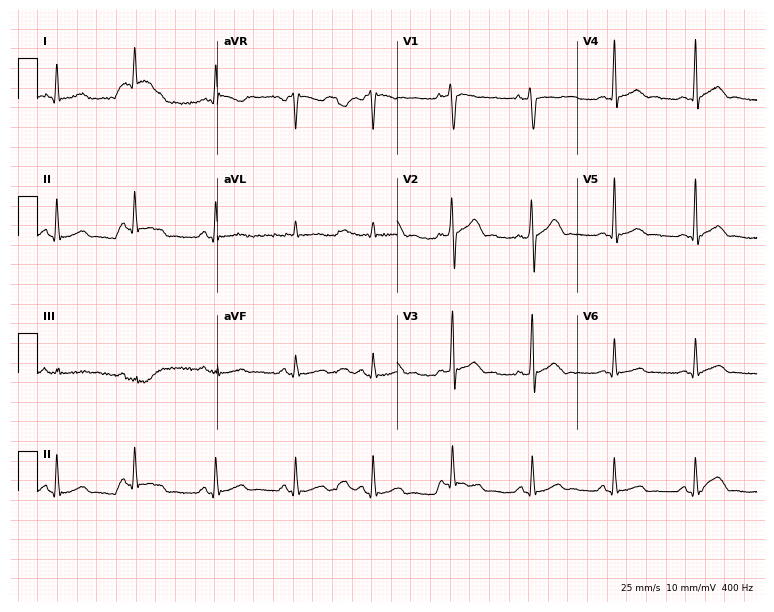
Electrocardiogram, a man, 30 years old. Overall reading on record: normal ECG.